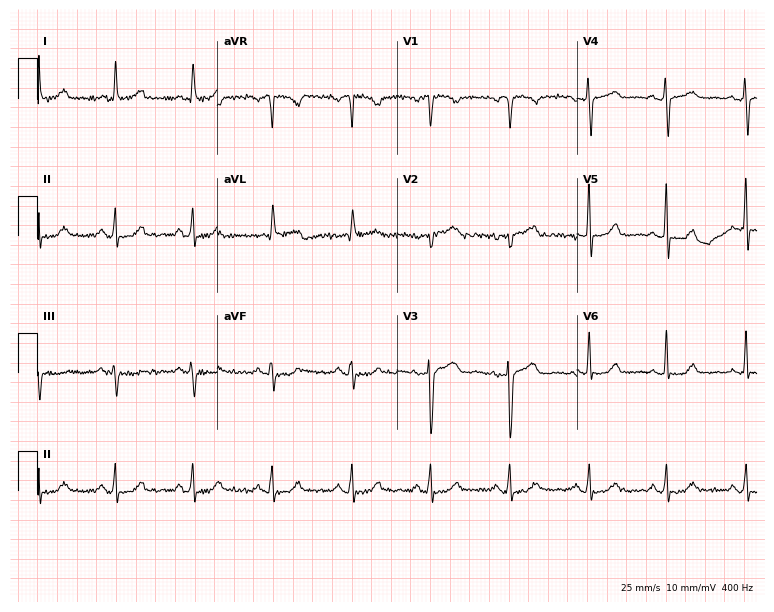
Resting 12-lead electrocardiogram. Patient: a 46-year-old female. None of these six findings is recorded: first-degree AV block, right bundle branch block, left bundle branch block, sinus bradycardia, atrial fibrillation, sinus tachycardia.